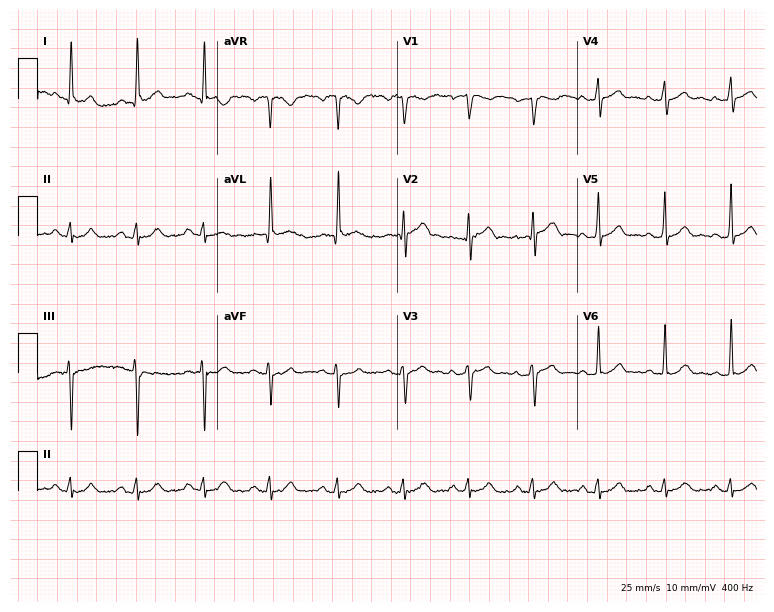
Electrocardiogram (7.3-second recording at 400 Hz), a 43-year-old man. Overall reading on record: normal ECG.